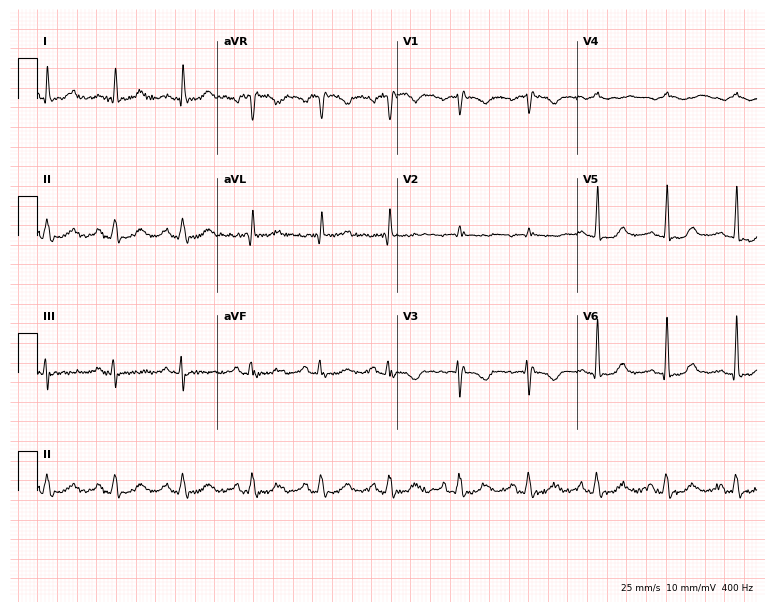
ECG (7.3-second recording at 400 Hz) — a 68-year-old female. Screened for six findings — first-degree AV block, right bundle branch block (RBBB), left bundle branch block (LBBB), sinus bradycardia, atrial fibrillation (AF), sinus tachycardia — none is recorded.